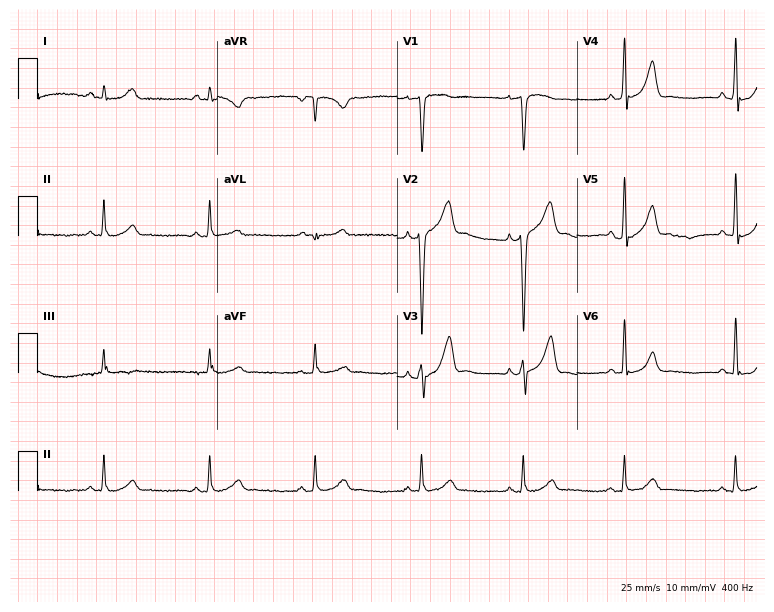
ECG — a male patient, 47 years old. Screened for six findings — first-degree AV block, right bundle branch block, left bundle branch block, sinus bradycardia, atrial fibrillation, sinus tachycardia — none is recorded.